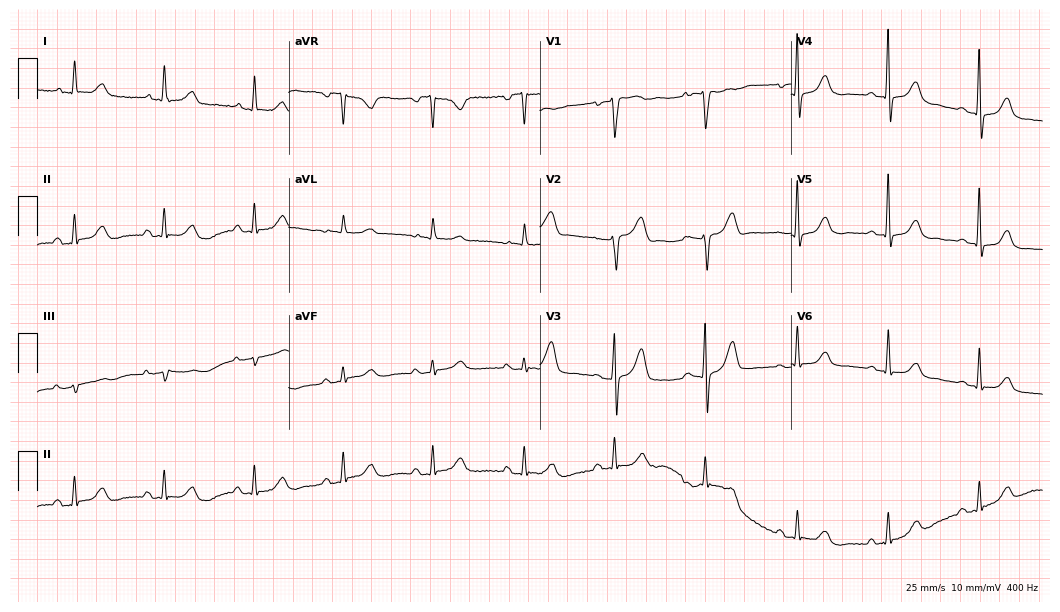
Standard 12-lead ECG recorded from a man, 84 years old (10.2-second recording at 400 Hz). Read as a normal ECG.